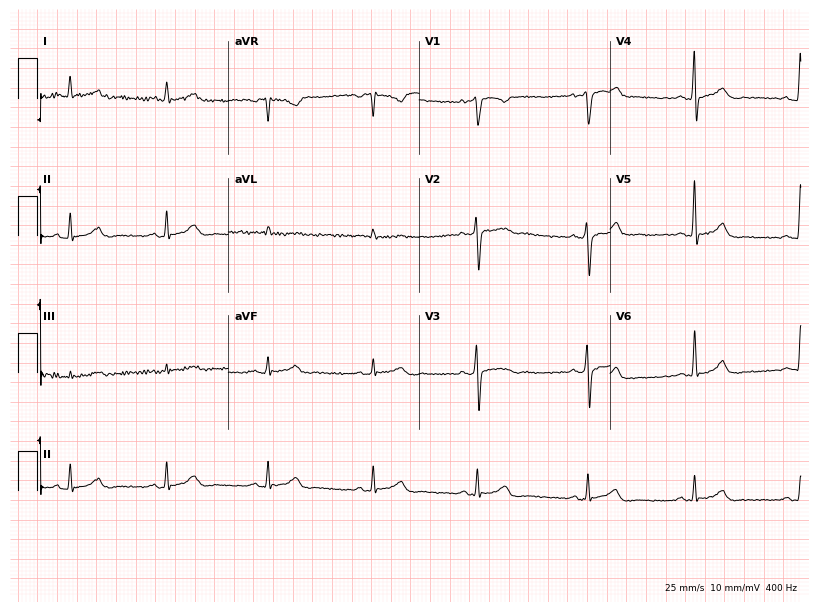
Electrocardiogram, a female patient, 62 years old. Overall reading on record: normal ECG.